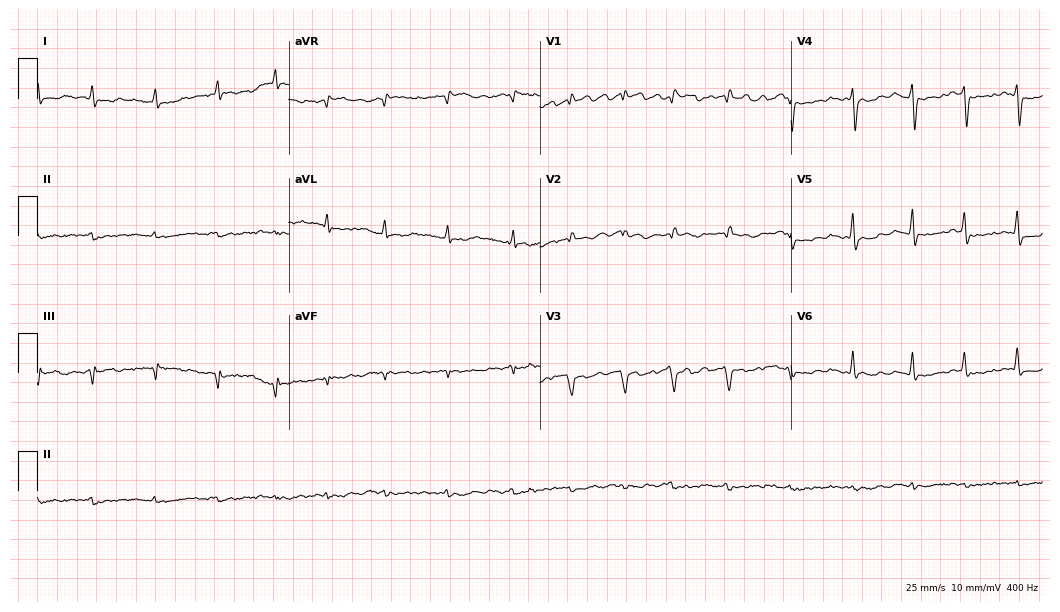
Standard 12-lead ECG recorded from a 79-year-old female patient (10.2-second recording at 400 Hz). None of these six findings is recorded: first-degree AV block, right bundle branch block, left bundle branch block, sinus bradycardia, atrial fibrillation, sinus tachycardia.